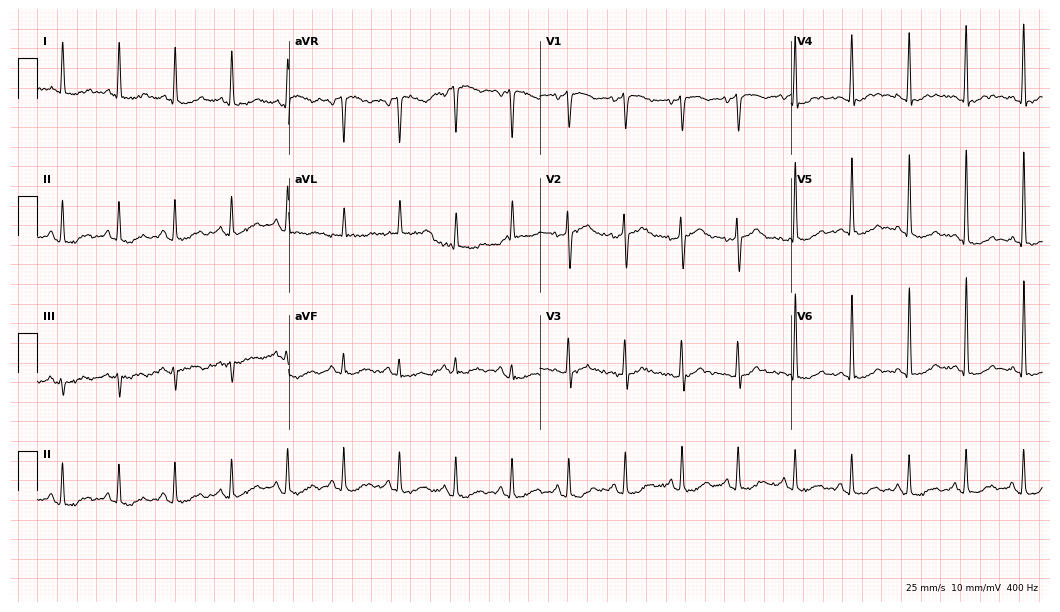
Electrocardiogram (10.2-second recording at 400 Hz), a female, 74 years old. Interpretation includes sinus tachycardia (a sinus rate of 100 beats per minute or more).